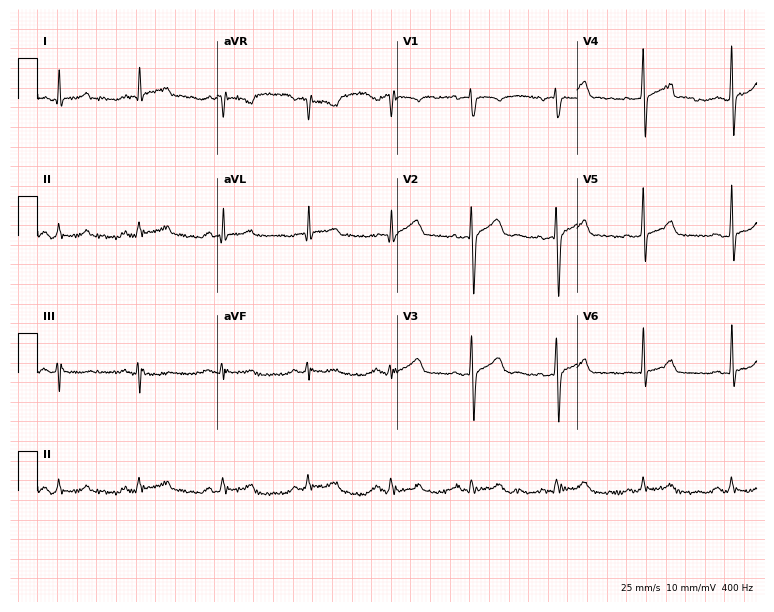
12-lead ECG from a 45-year-old man. Recorded interpretation: within normal limits.